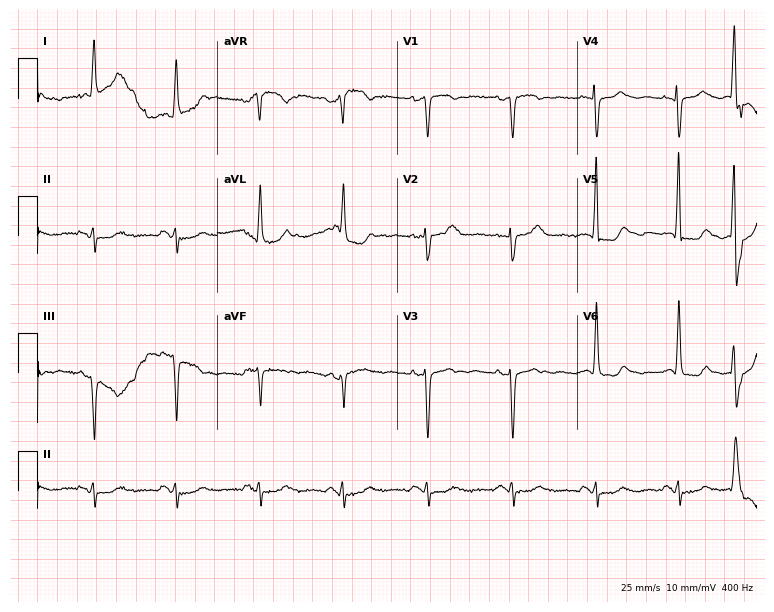
12-lead ECG from a 77-year-old female (7.3-second recording at 400 Hz). No first-degree AV block, right bundle branch block, left bundle branch block, sinus bradycardia, atrial fibrillation or sinus tachycardia recorded for this tracing.